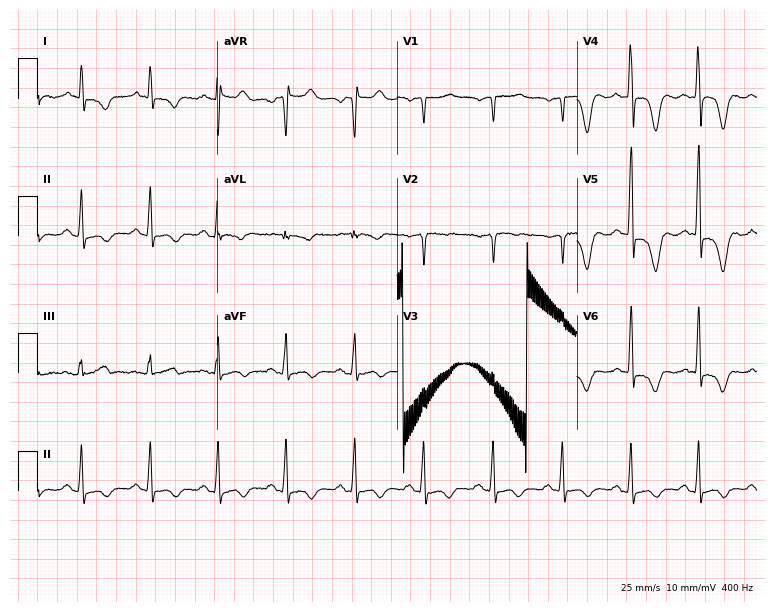
ECG — a male, 58 years old. Screened for six findings — first-degree AV block, right bundle branch block, left bundle branch block, sinus bradycardia, atrial fibrillation, sinus tachycardia — none is recorded. Only these six findings were labelled.